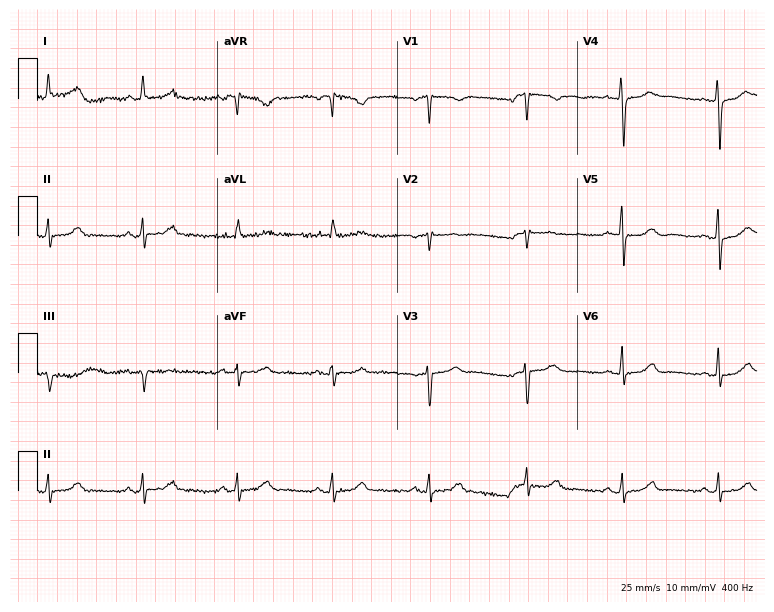
12-lead ECG from a woman, 62 years old (7.3-second recording at 400 Hz). Recorded interpretation: within normal limits.